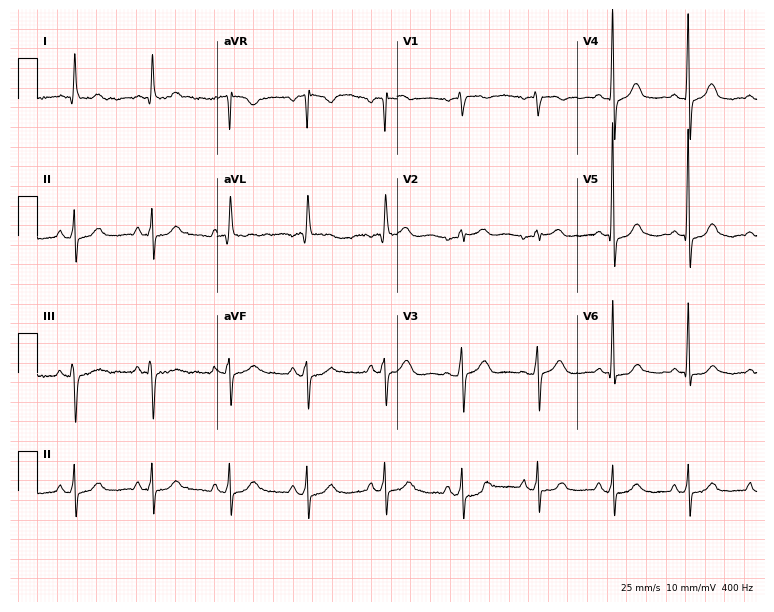
Resting 12-lead electrocardiogram (7.3-second recording at 400 Hz). Patient: an 80-year-old female. None of these six findings is recorded: first-degree AV block, right bundle branch block, left bundle branch block, sinus bradycardia, atrial fibrillation, sinus tachycardia.